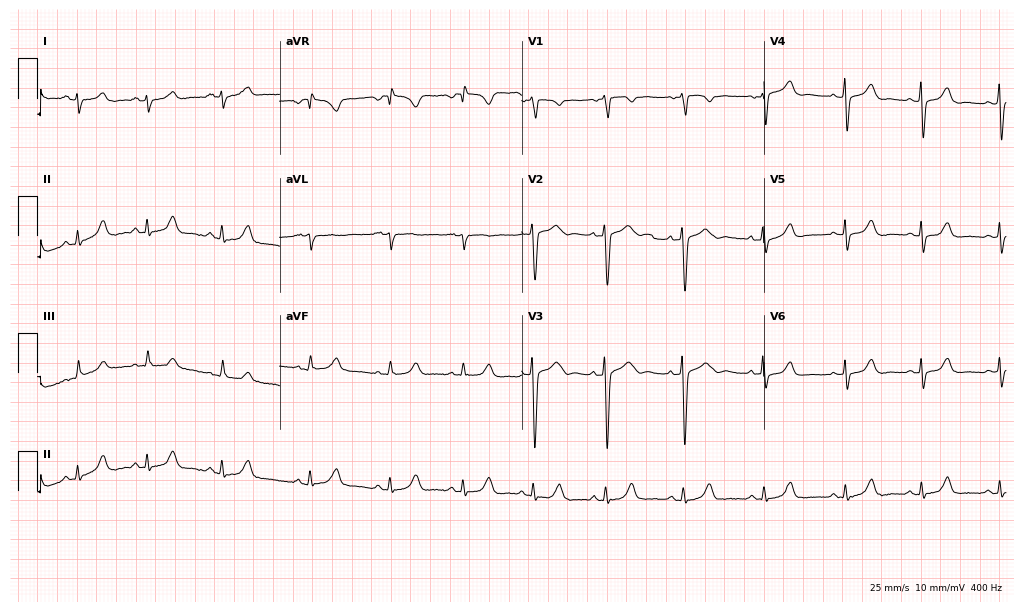
Resting 12-lead electrocardiogram (9.9-second recording at 400 Hz). Patient: a 22-year-old female. None of these six findings is recorded: first-degree AV block, right bundle branch block, left bundle branch block, sinus bradycardia, atrial fibrillation, sinus tachycardia.